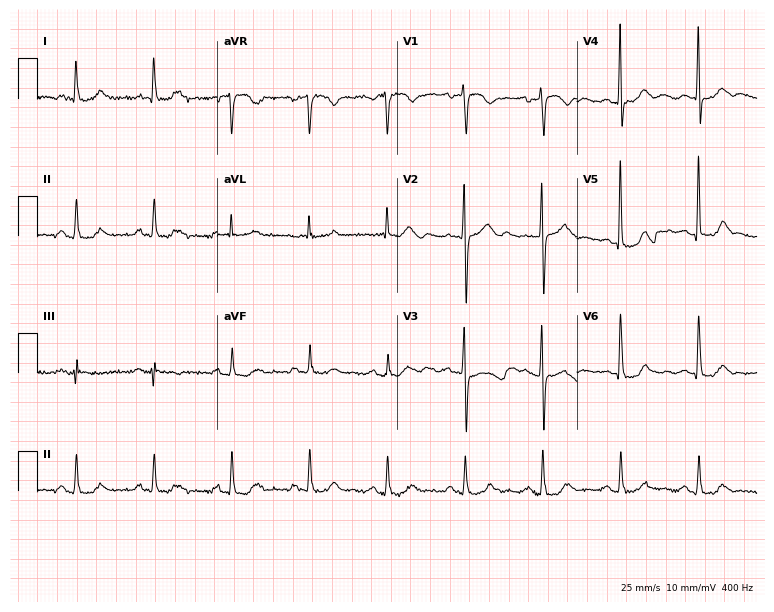
Resting 12-lead electrocardiogram. Patient: an 84-year-old man. Read as a normal ECG.